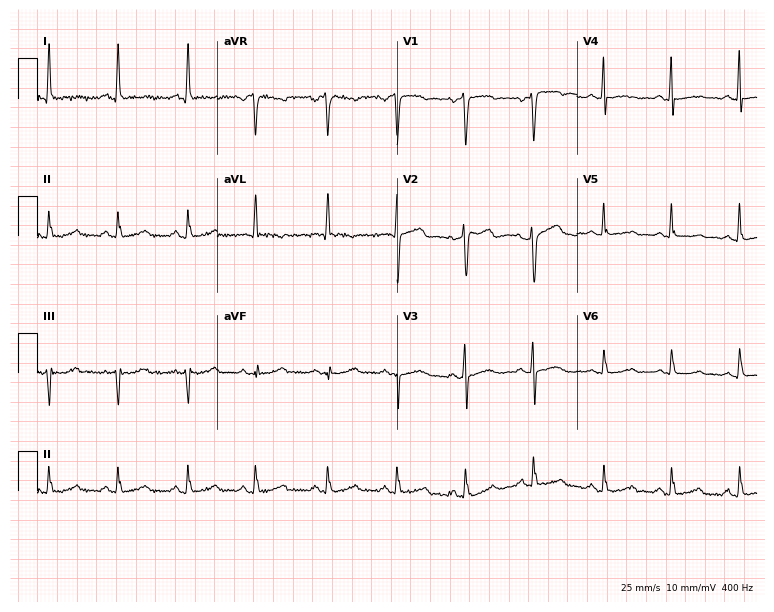
Standard 12-lead ECG recorded from a 69-year-old female patient (7.3-second recording at 400 Hz). None of these six findings is recorded: first-degree AV block, right bundle branch block (RBBB), left bundle branch block (LBBB), sinus bradycardia, atrial fibrillation (AF), sinus tachycardia. Findings outside these six are not listed.